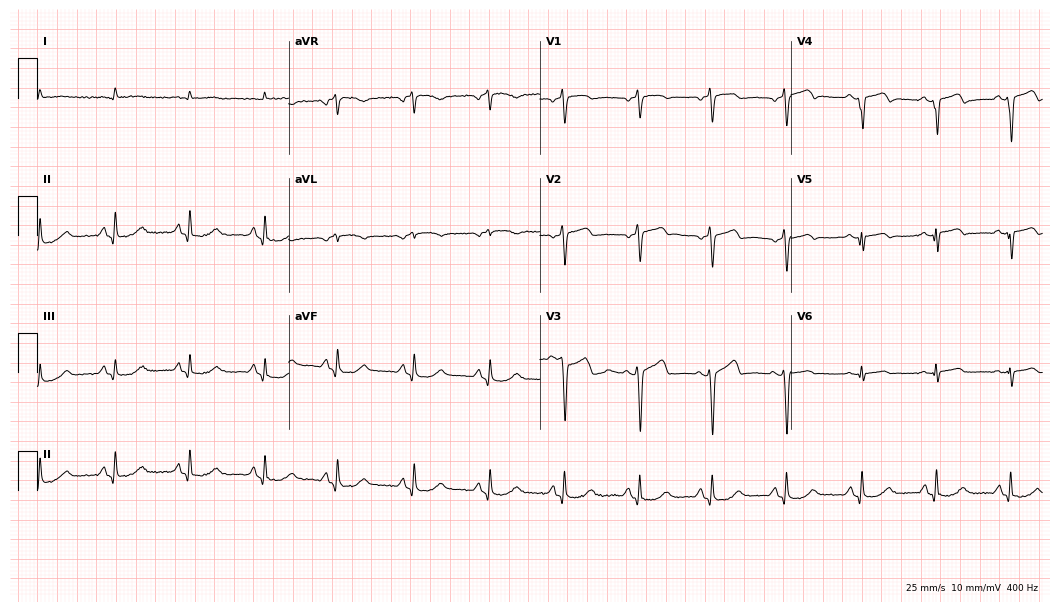
ECG — a male, 80 years old. Screened for six findings — first-degree AV block, right bundle branch block, left bundle branch block, sinus bradycardia, atrial fibrillation, sinus tachycardia — none is recorded. Only these six findings were labelled.